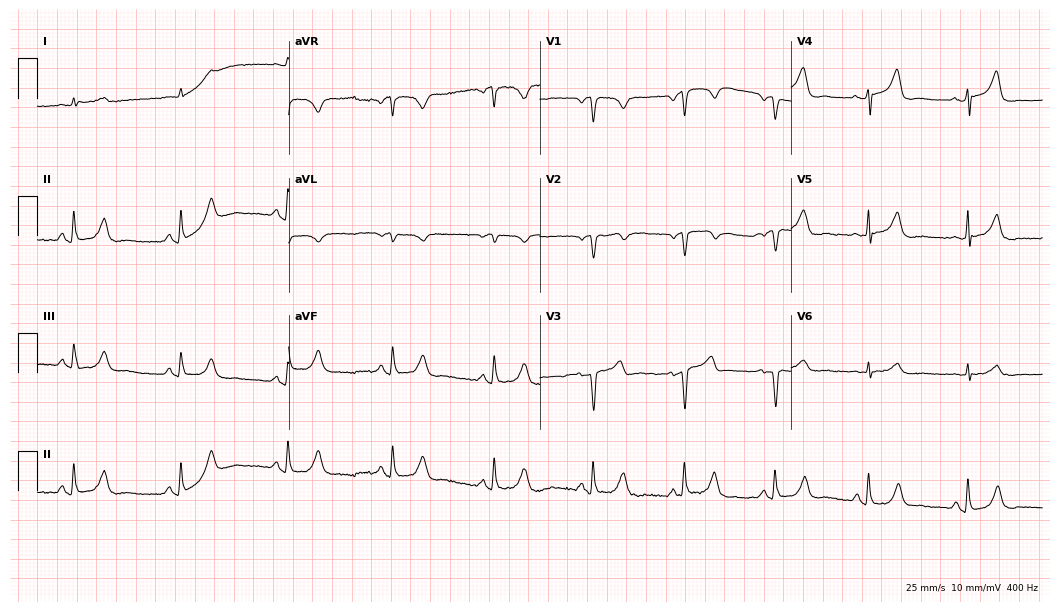
Electrocardiogram, a male patient, 57 years old. Of the six screened findings (first-degree AV block, right bundle branch block, left bundle branch block, sinus bradycardia, atrial fibrillation, sinus tachycardia), none is recorded. Findings outside these six are not listed.